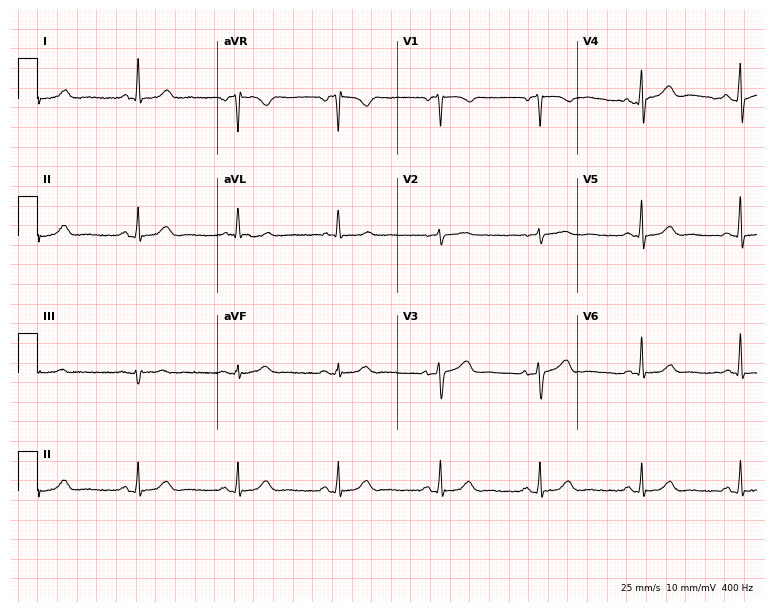
Electrocardiogram, a female, 67 years old. Overall reading on record: normal ECG.